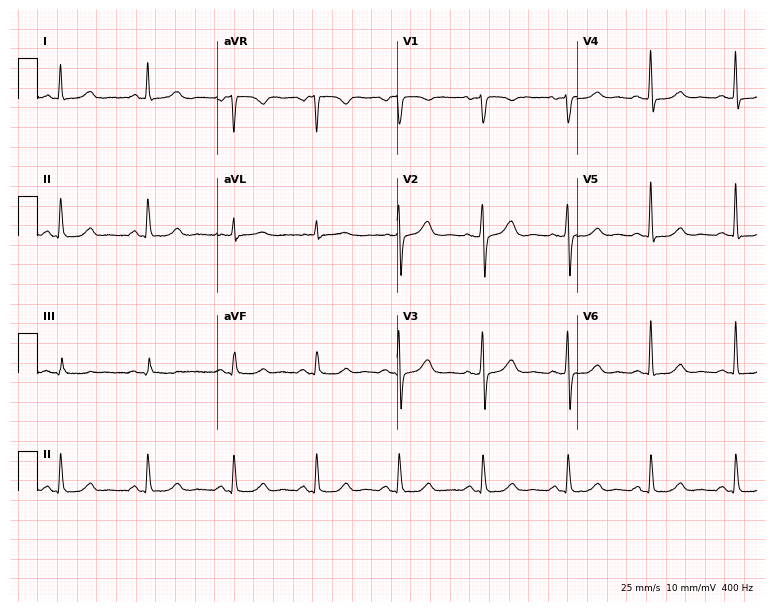
12-lead ECG from a female, 44 years old. Recorded interpretation: within normal limits.